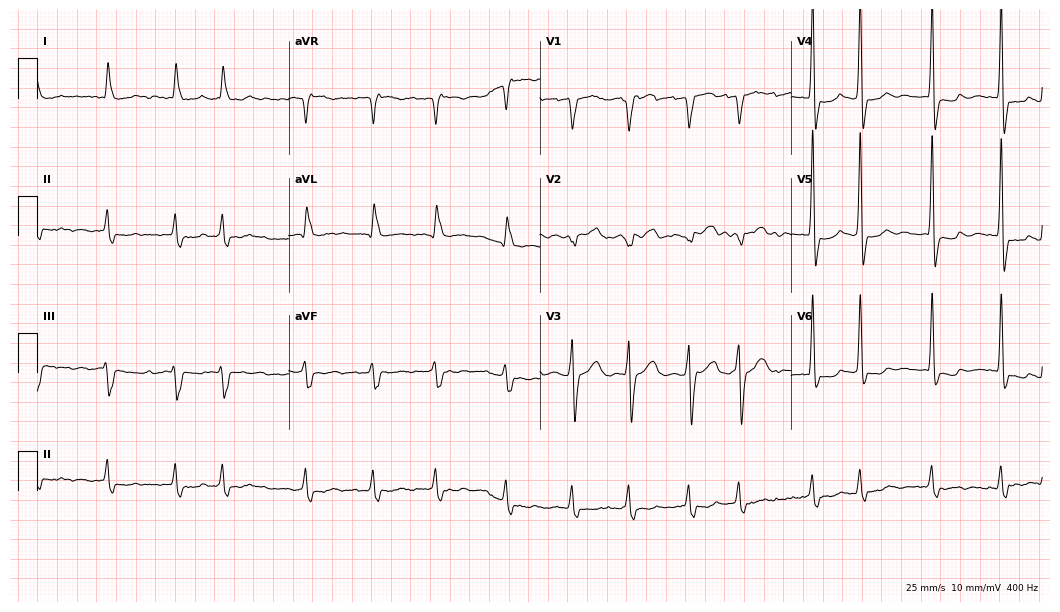
12-lead ECG from an 84-year-old man. Shows atrial fibrillation.